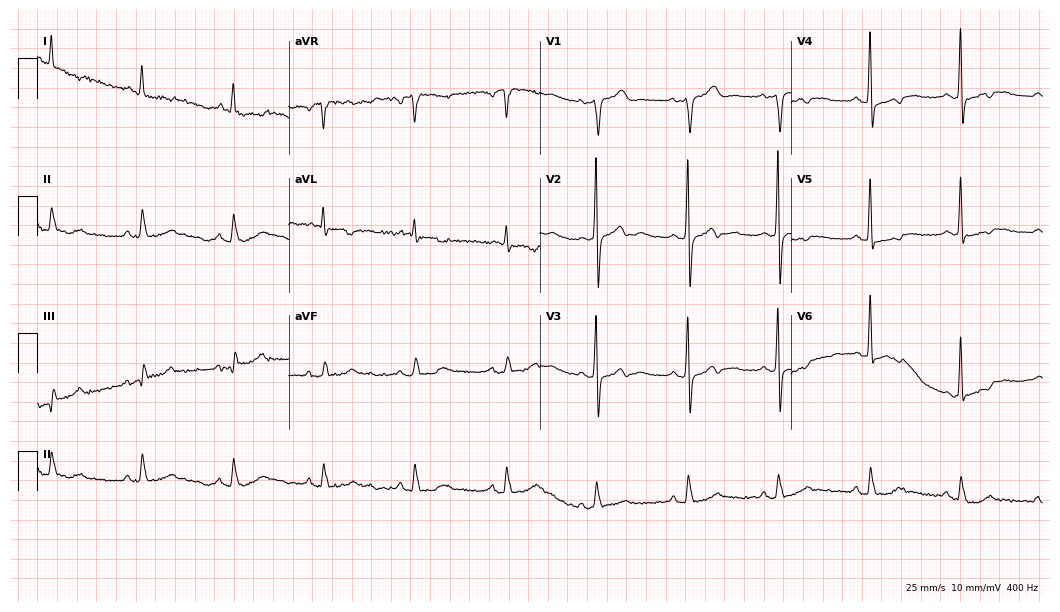
Electrocardiogram (10.2-second recording at 400 Hz), a male patient, 87 years old. Overall reading on record: normal ECG.